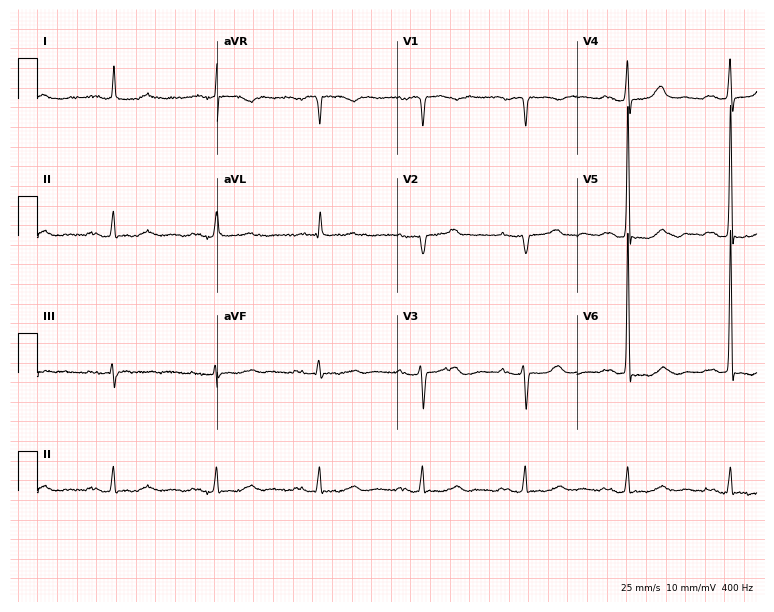
Electrocardiogram (7.3-second recording at 400 Hz), a woman, 83 years old. Interpretation includes first-degree AV block.